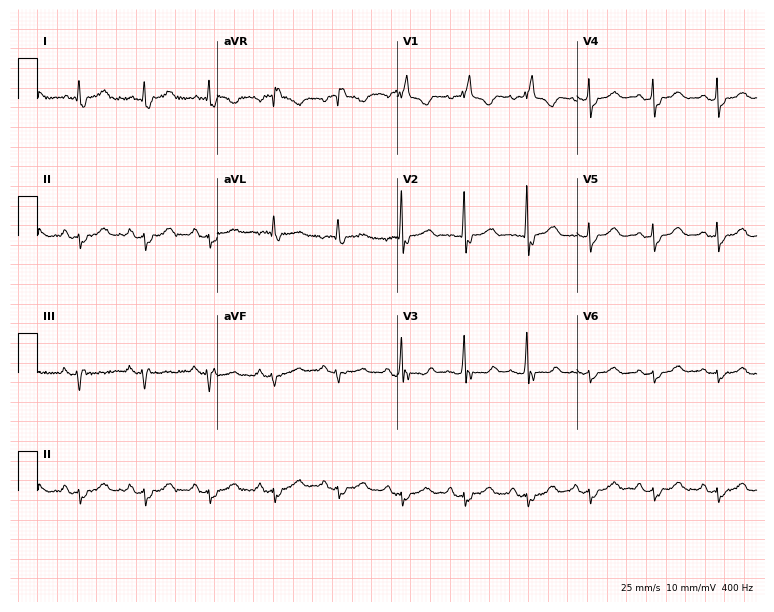
12-lead ECG from a woman, 66 years old. Findings include right bundle branch block.